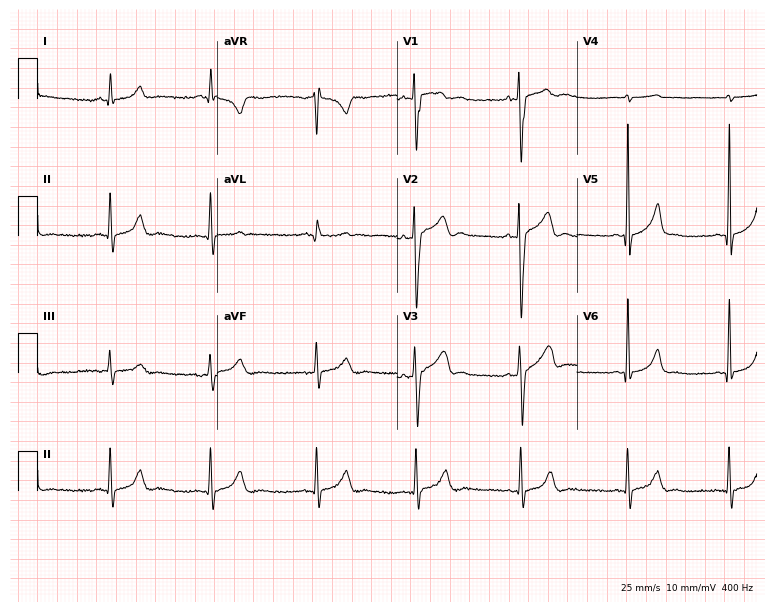
ECG (7.3-second recording at 400 Hz) — a 20-year-old male. Screened for six findings — first-degree AV block, right bundle branch block, left bundle branch block, sinus bradycardia, atrial fibrillation, sinus tachycardia — none is recorded. Findings outside these six are not listed.